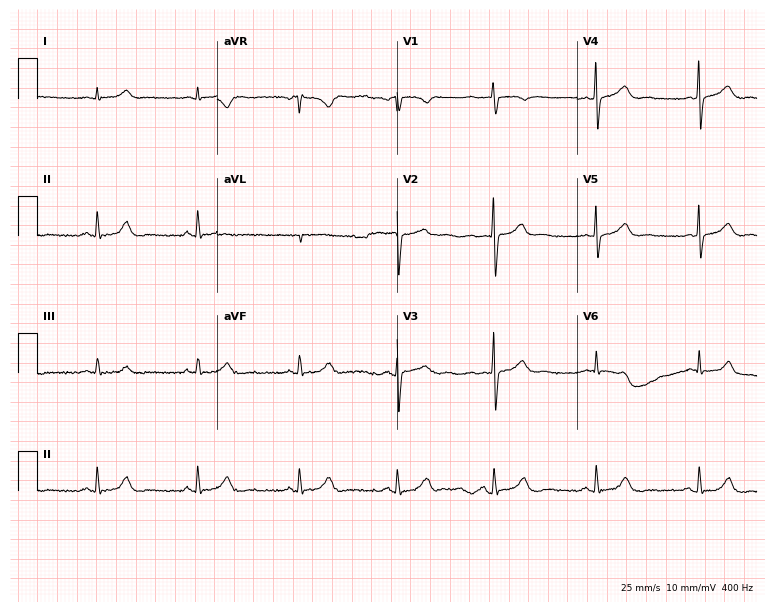
12-lead ECG from a 25-year-old man (7.3-second recording at 400 Hz). Recorded interpretation: within normal limits.